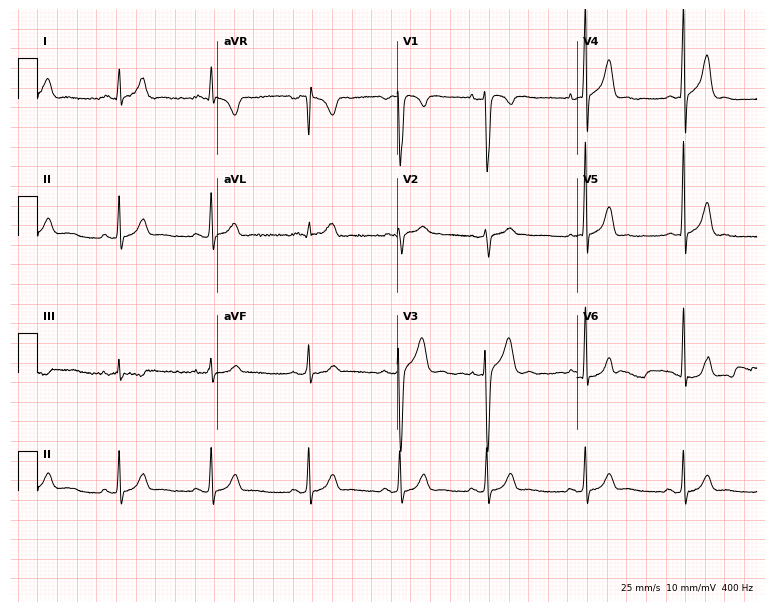
Standard 12-lead ECG recorded from a 20-year-old man (7.3-second recording at 400 Hz). Read as a normal ECG.